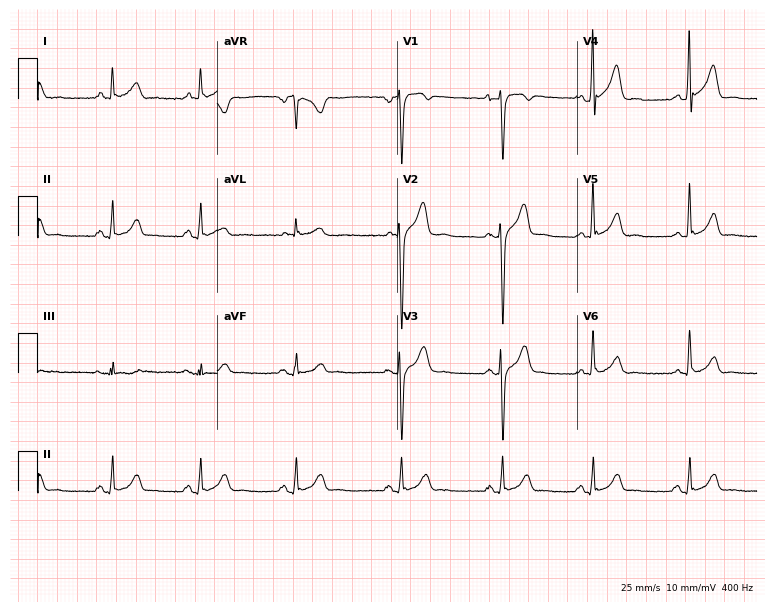
Electrocardiogram (7.3-second recording at 400 Hz), a male, 30 years old. Overall reading on record: normal ECG.